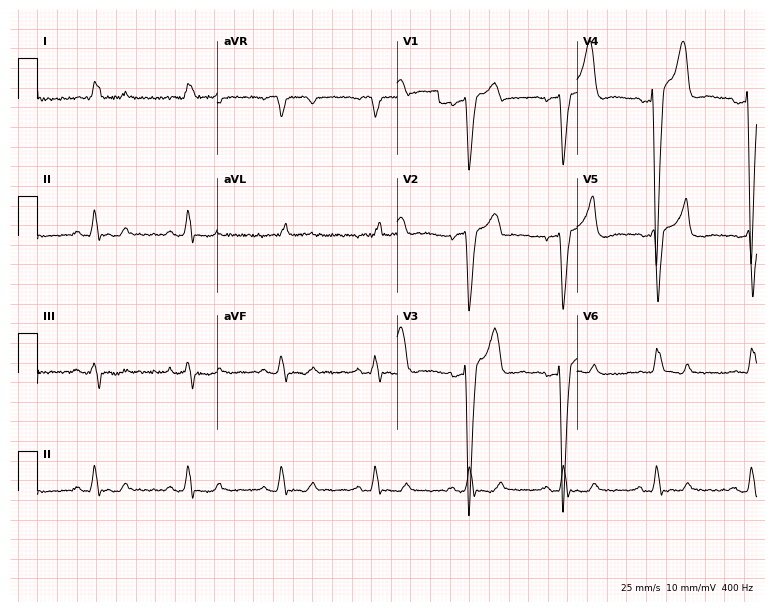
ECG (7.3-second recording at 400 Hz) — a 72-year-old male patient. Findings include left bundle branch block.